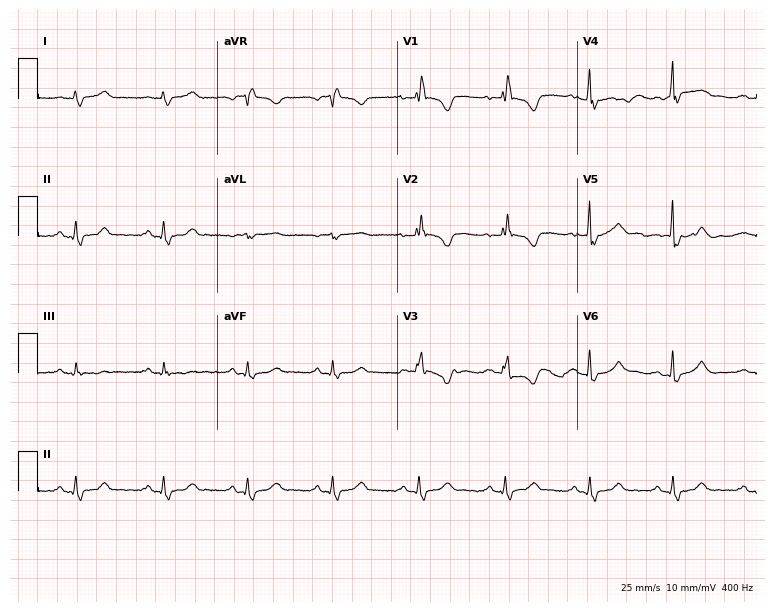
12-lead ECG from a female patient, 53 years old. Findings include right bundle branch block.